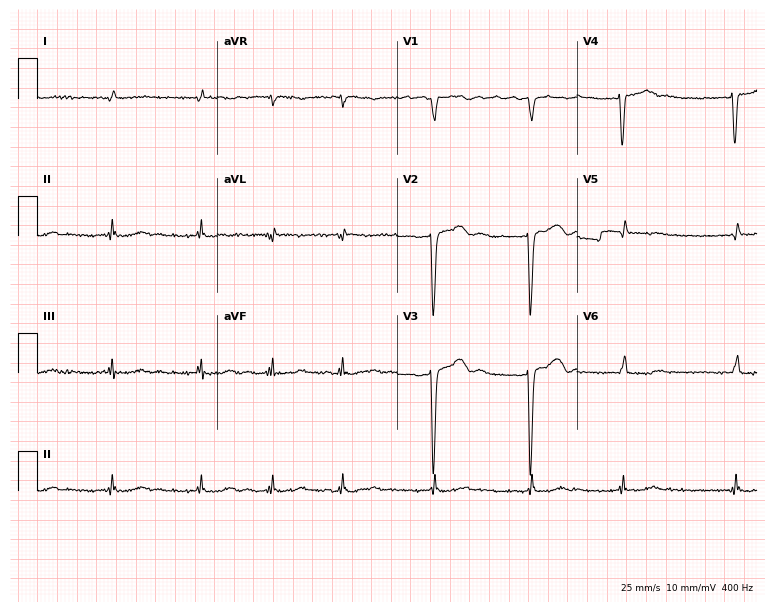
Electrocardiogram, a 65-year-old male. Interpretation includes atrial fibrillation.